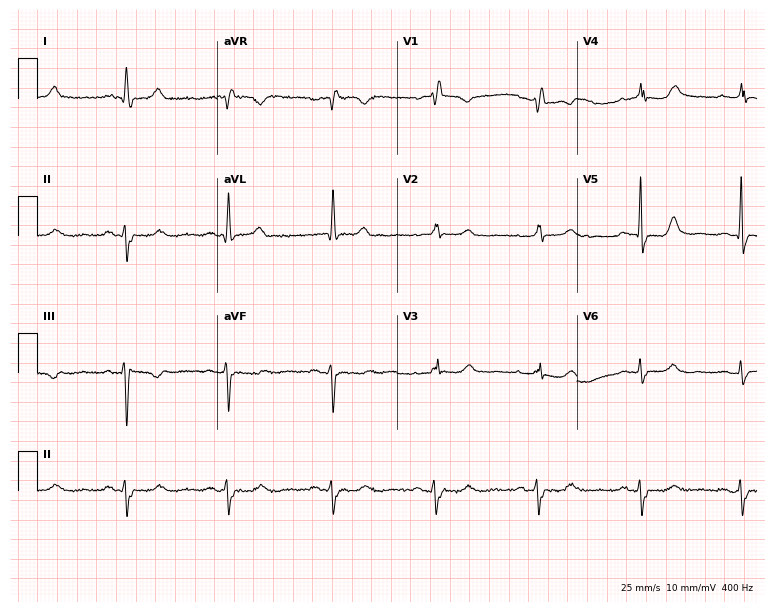
ECG — a 69-year-old female. Screened for six findings — first-degree AV block, right bundle branch block (RBBB), left bundle branch block (LBBB), sinus bradycardia, atrial fibrillation (AF), sinus tachycardia — none is recorded. Findings outside these six are not listed.